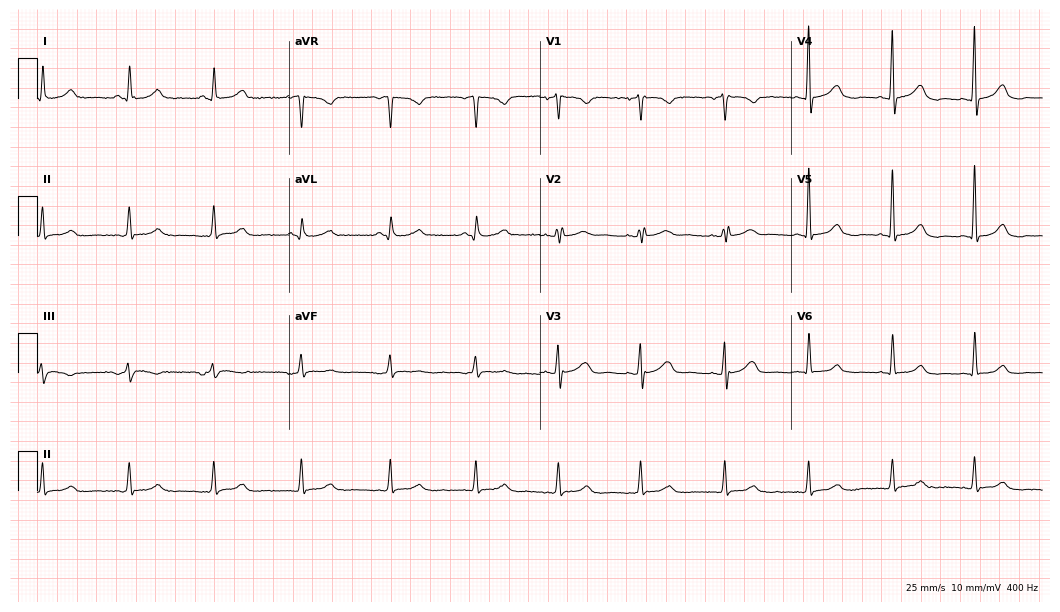
Electrocardiogram, a 68-year-old woman. Of the six screened findings (first-degree AV block, right bundle branch block, left bundle branch block, sinus bradycardia, atrial fibrillation, sinus tachycardia), none is recorded.